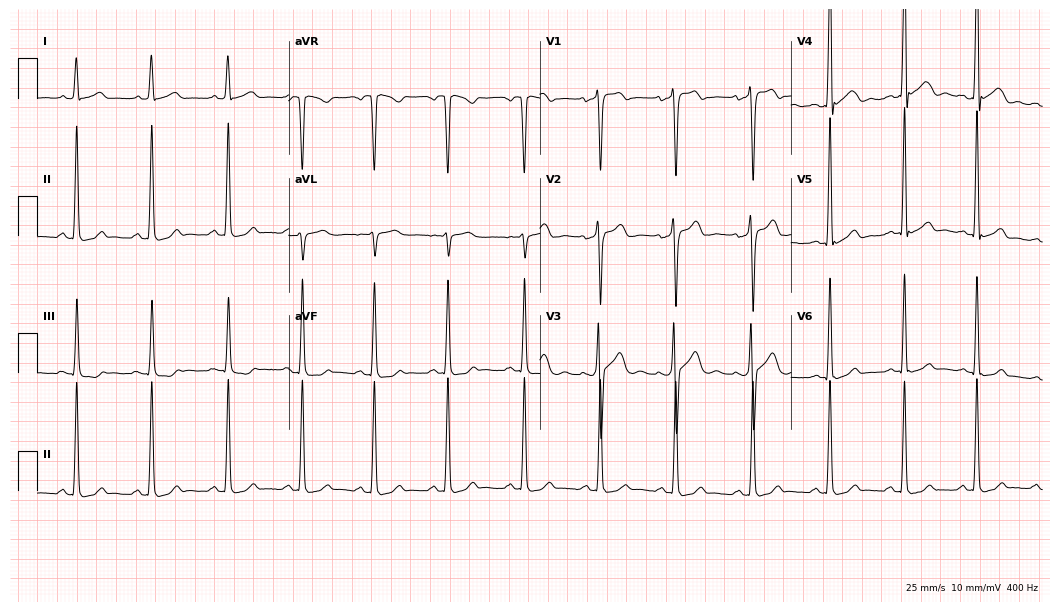
Standard 12-lead ECG recorded from a 26-year-old male (10.2-second recording at 400 Hz). None of these six findings is recorded: first-degree AV block, right bundle branch block, left bundle branch block, sinus bradycardia, atrial fibrillation, sinus tachycardia.